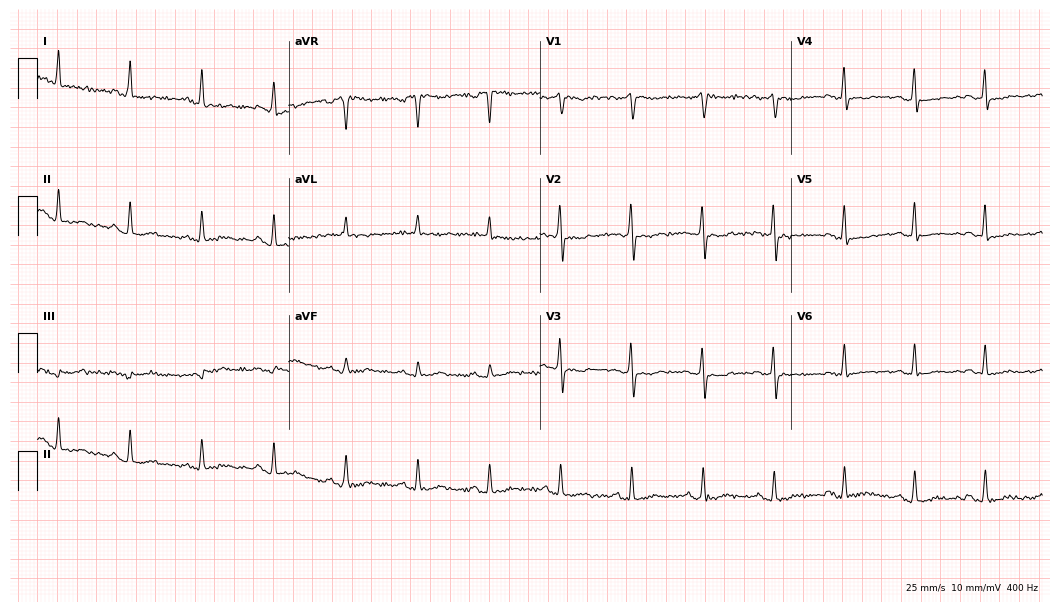
Electrocardiogram, an 80-year-old woman. Of the six screened findings (first-degree AV block, right bundle branch block, left bundle branch block, sinus bradycardia, atrial fibrillation, sinus tachycardia), none is recorded. Other findings, if any, are not listed.